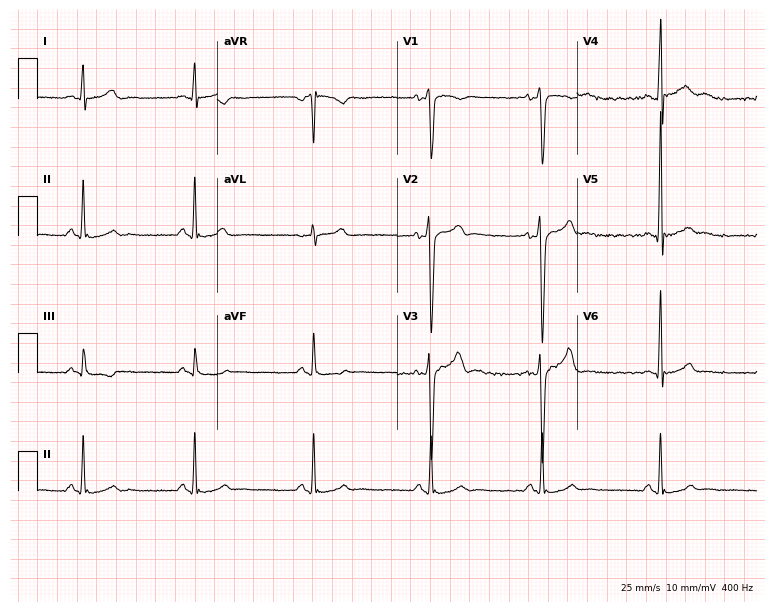
12-lead ECG from a man, 20 years old. No first-degree AV block, right bundle branch block, left bundle branch block, sinus bradycardia, atrial fibrillation or sinus tachycardia recorded for this tracing.